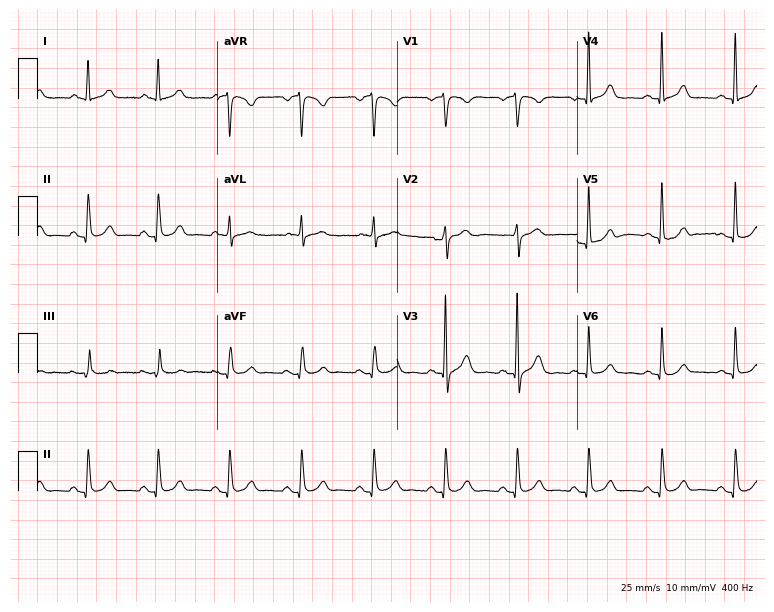
12-lead ECG (7.3-second recording at 400 Hz) from a 49-year-old man. Labelled as a normal ECG.